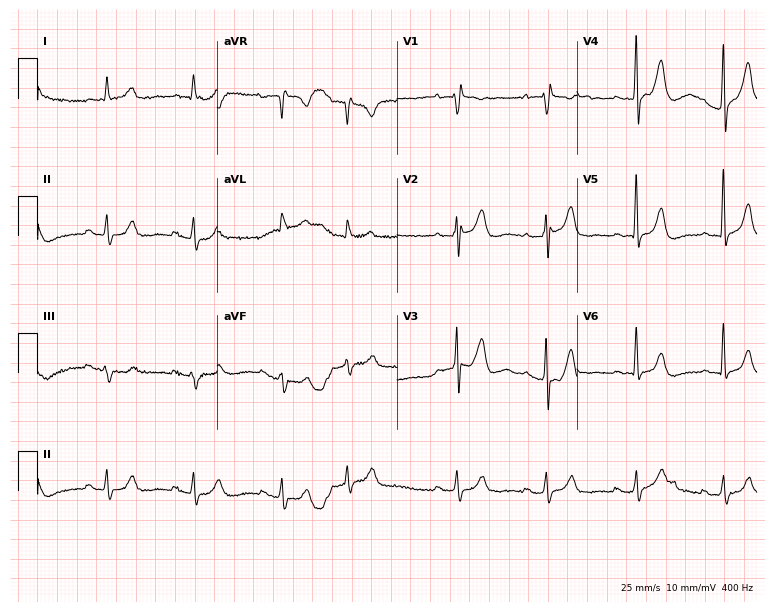
Resting 12-lead electrocardiogram. Patient: a 77-year-old female. None of these six findings is recorded: first-degree AV block, right bundle branch block (RBBB), left bundle branch block (LBBB), sinus bradycardia, atrial fibrillation (AF), sinus tachycardia. Findings outside these six are not listed.